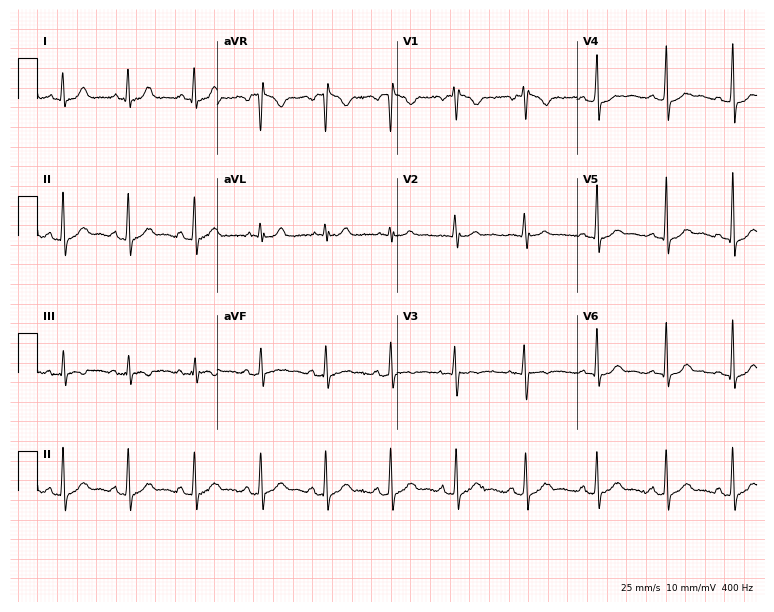
Standard 12-lead ECG recorded from a 30-year-old woman. None of these six findings is recorded: first-degree AV block, right bundle branch block, left bundle branch block, sinus bradycardia, atrial fibrillation, sinus tachycardia. Only these six findings were labelled.